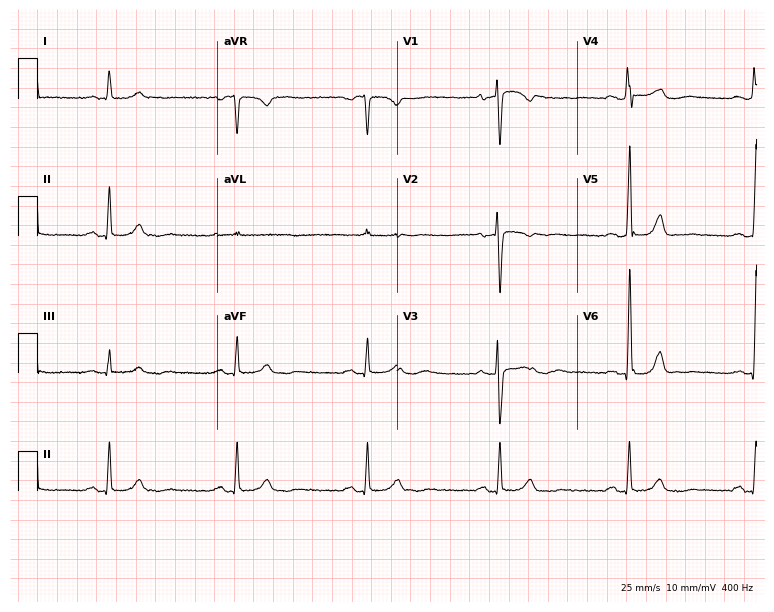
Resting 12-lead electrocardiogram. Patient: a female, 69 years old. None of these six findings is recorded: first-degree AV block, right bundle branch block, left bundle branch block, sinus bradycardia, atrial fibrillation, sinus tachycardia. Only these six findings were labelled.